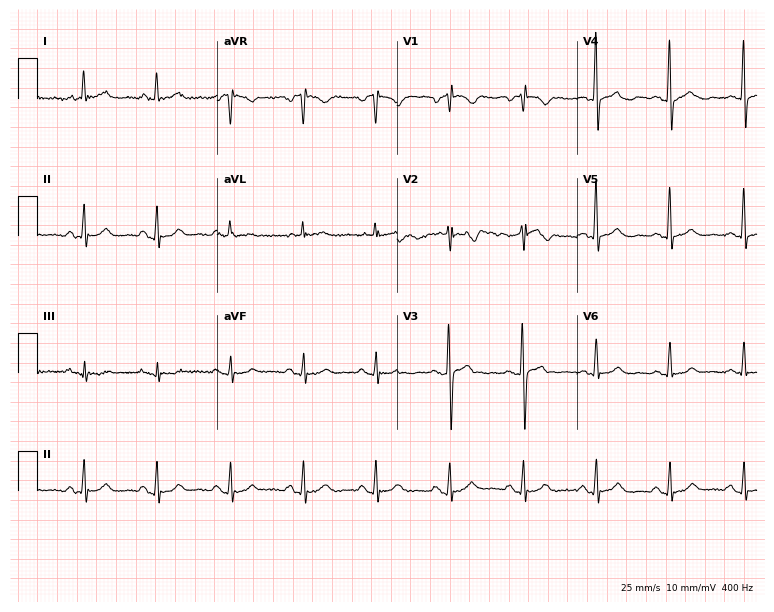
Resting 12-lead electrocardiogram (7.3-second recording at 400 Hz). Patient: a female, 64 years old. None of these six findings is recorded: first-degree AV block, right bundle branch block, left bundle branch block, sinus bradycardia, atrial fibrillation, sinus tachycardia. Other findings, if any, are not listed.